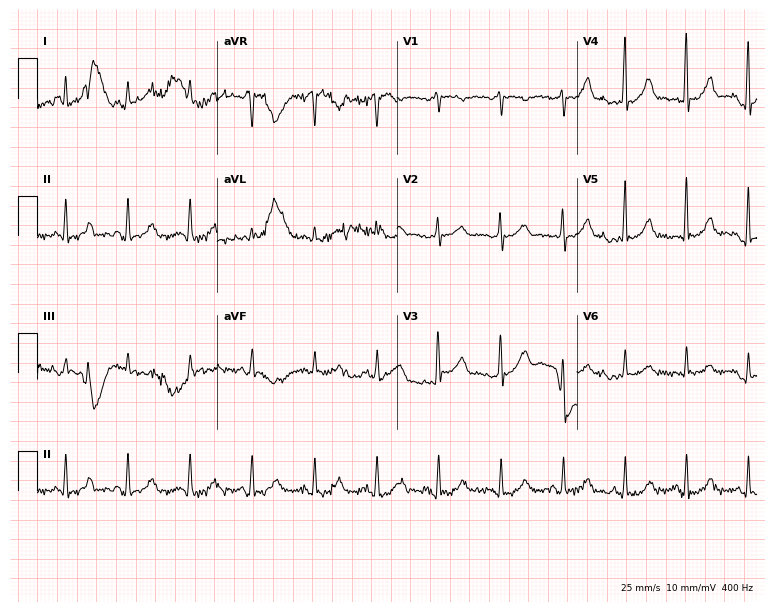
12-lead ECG from a woman, 49 years old (7.3-second recording at 400 Hz). Recorded interpretation: within normal limits.